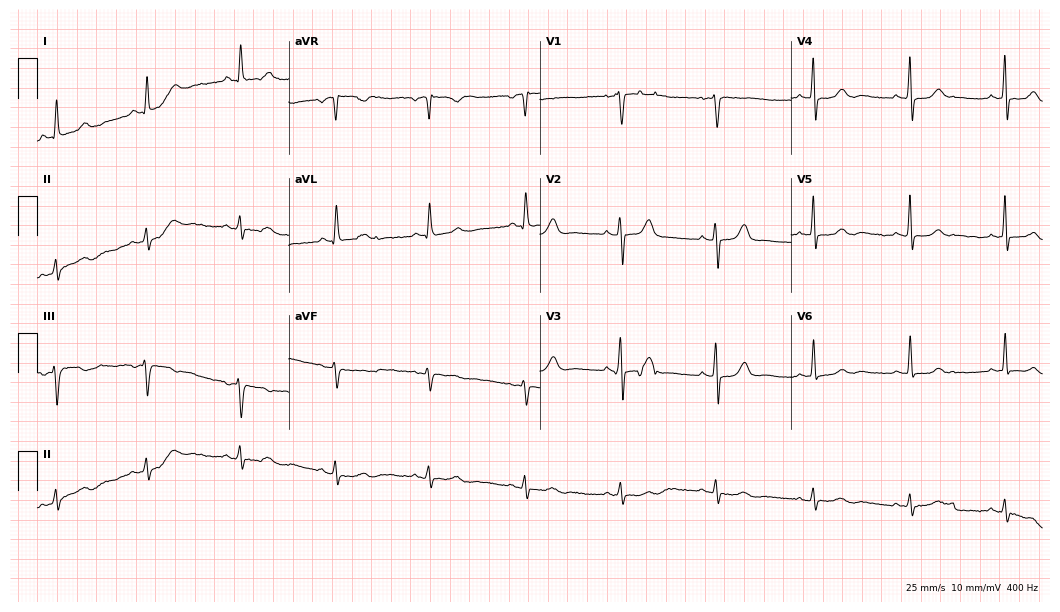
12-lead ECG from a female, 59 years old. Recorded interpretation: within normal limits.